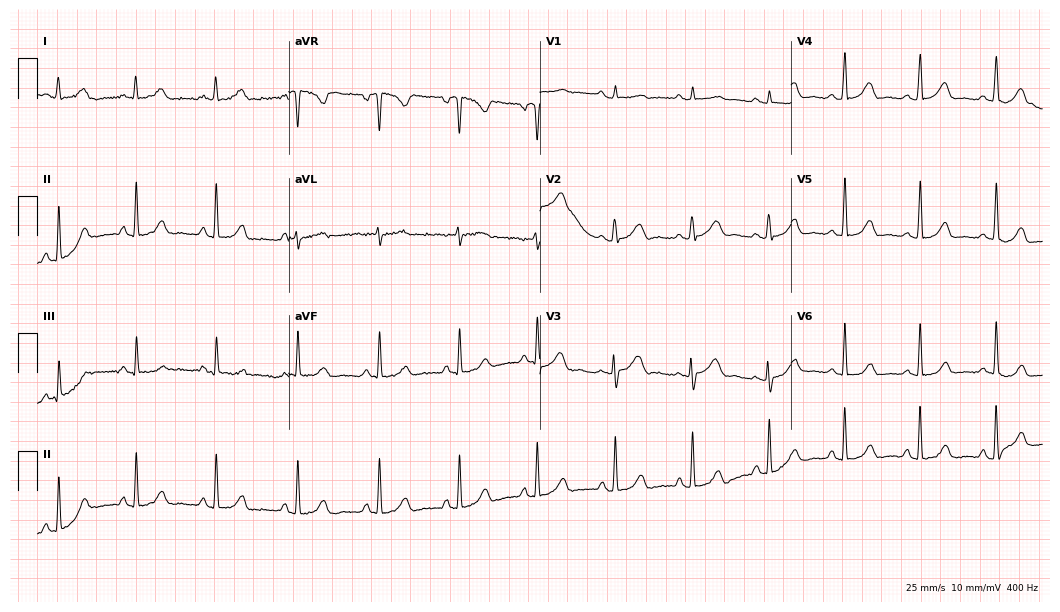
ECG — a 46-year-old female patient. Screened for six findings — first-degree AV block, right bundle branch block, left bundle branch block, sinus bradycardia, atrial fibrillation, sinus tachycardia — none is recorded. Findings outside these six are not listed.